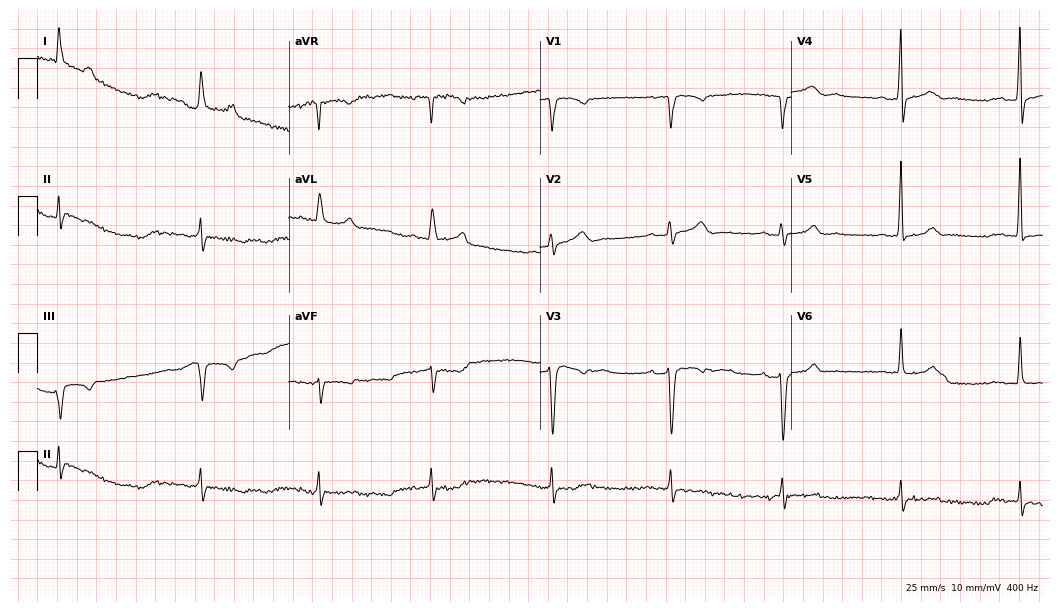
Standard 12-lead ECG recorded from a 71-year-old man. None of these six findings is recorded: first-degree AV block, right bundle branch block (RBBB), left bundle branch block (LBBB), sinus bradycardia, atrial fibrillation (AF), sinus tachycardia. Findings outside these six are not listed.